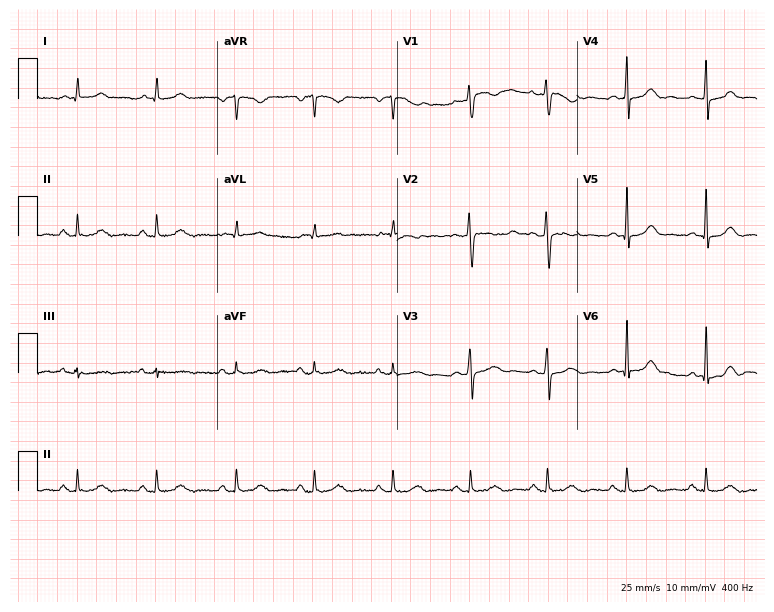
ECG (7.3-second recording at 400 Hz) — a woman, 34 years old. Labelled as a normal ECG.